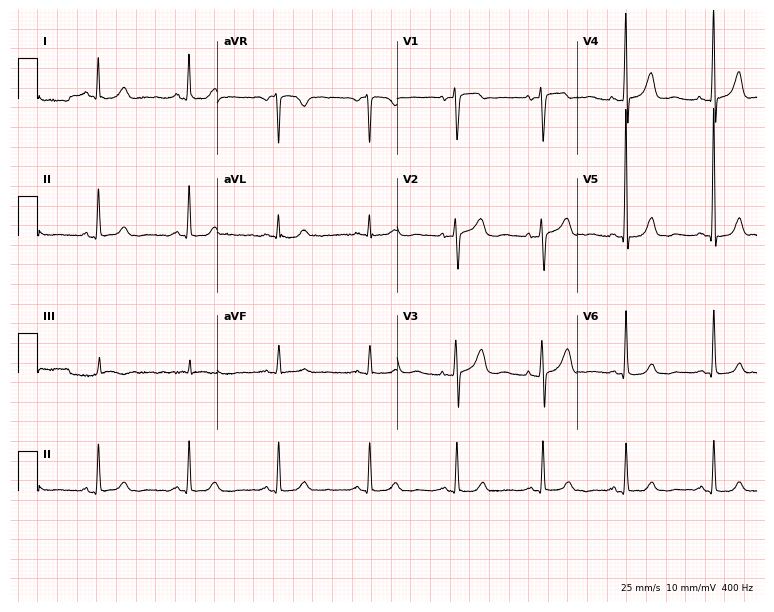
12-lead ECG from a female patient, 64 years old (7.3-second recording at 400 Hz). Recorded interpretation: within normal limits.